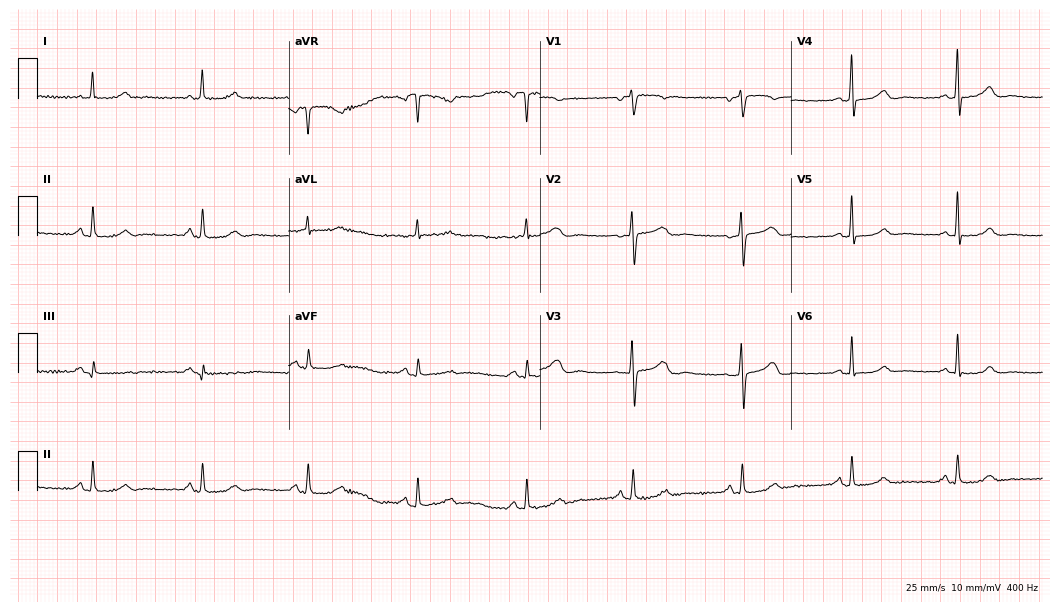
Standard 12-lead ECG recorded from a 60-year-old woman (10.2-second recording at 400 Hz). Read as a normal ECG.